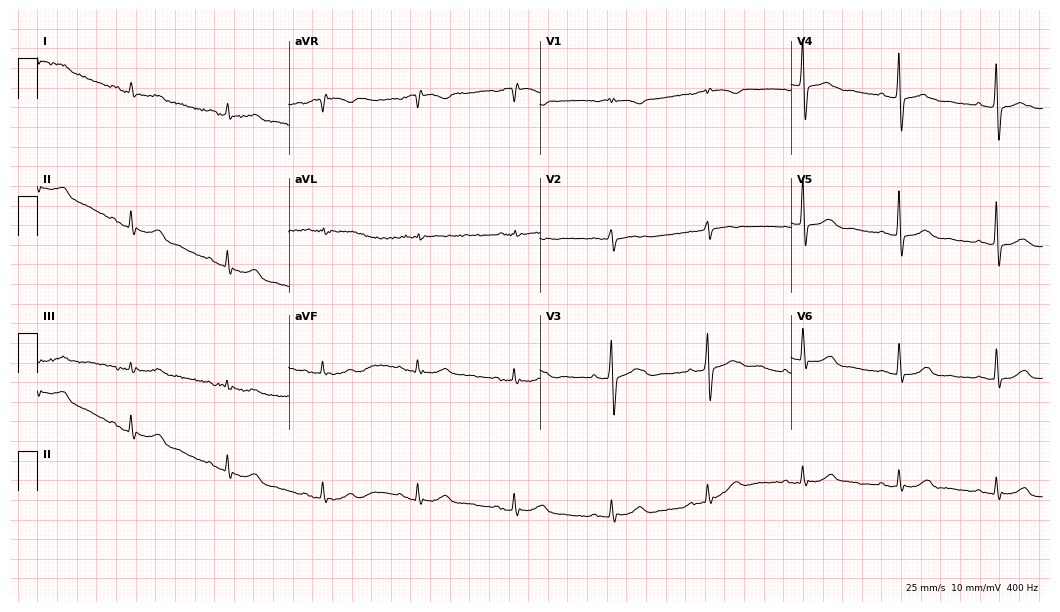
12-lead ECG (10.2-second recording at 400 Hz) from a woman, 74 years old. Labelled as a normal ECG.